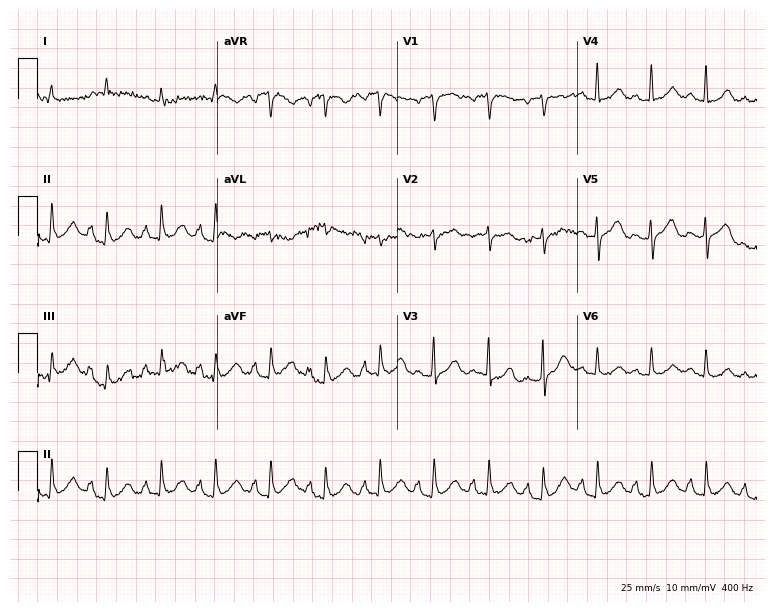
Standard 12-lead ECG recorded from a 78-year-old man (7.3-second recording at 400 Hz). The tracing shows sinus tachycardia (a sinus rate of 100 beats per minute or more).